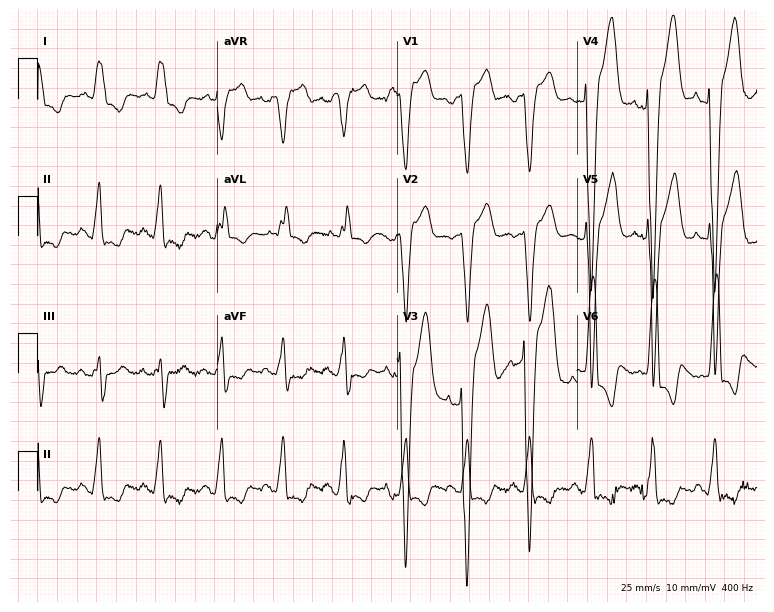
12-lead ECG from a 75-year-old male patient (7.3-second recording at 400 Hz). Shows left bundle branch block.